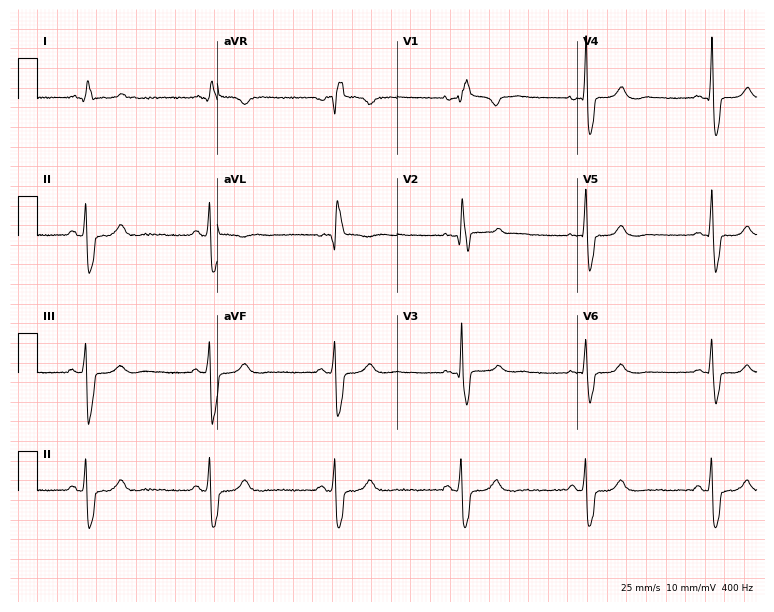
12-lead ECG from a 52-year-old male patient. Findings include right bundle branch block (RBBB).